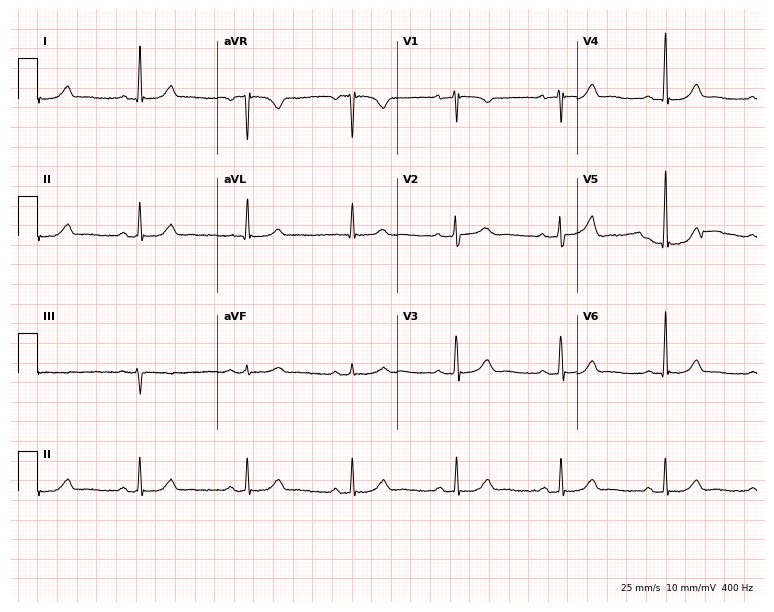
12-lead ECG (7.3-second recording at 400 Hz) from a female, 61 years old. Labelled as a normal ECG.